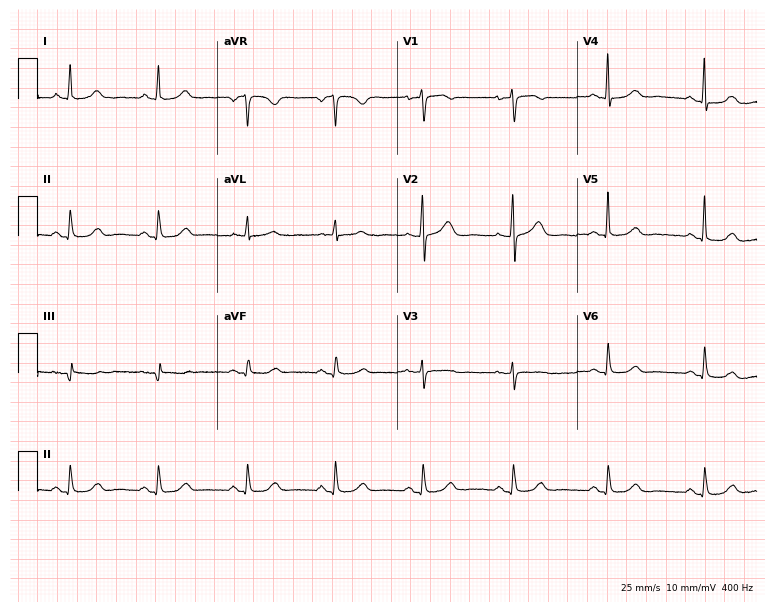
Standard 12-lead ECG recorded from a 72-year-old female (7.3-second recording at 400 Hz). None of these six findings is recorded: first-degree AV block, right bundle branch block (RBBB), left bundle branch block (LBBB), sinus bradycardia, atrial fibrillation (AF), sinus tachycardia. Findings outside these six are not listed.